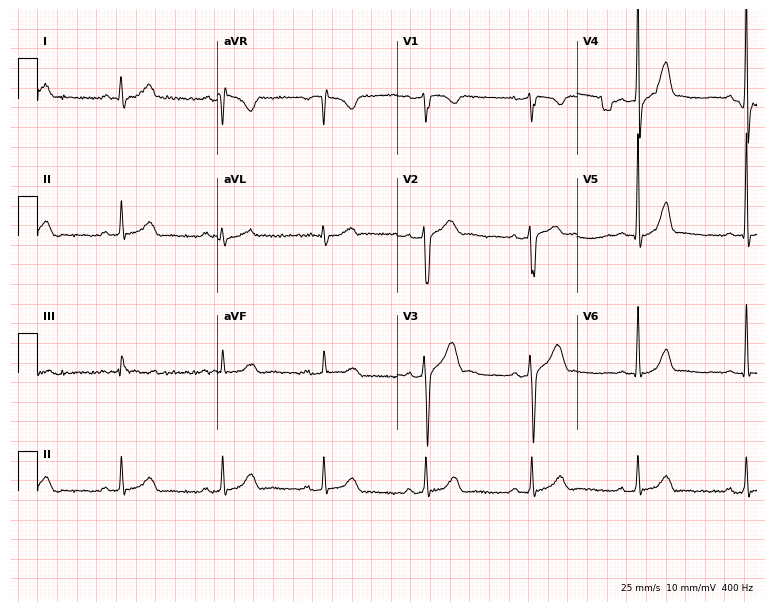
12-lead ECG (7.3-second recording at 400 Hz) from a 37-year-old man. Screened for six findings — first-degree AV block, right bundle branch block, left bundle branch block, sinus bradycardia, atrial fibrillation, sinus tachycardia — none is recorded. Other findings, if any, are not listed.